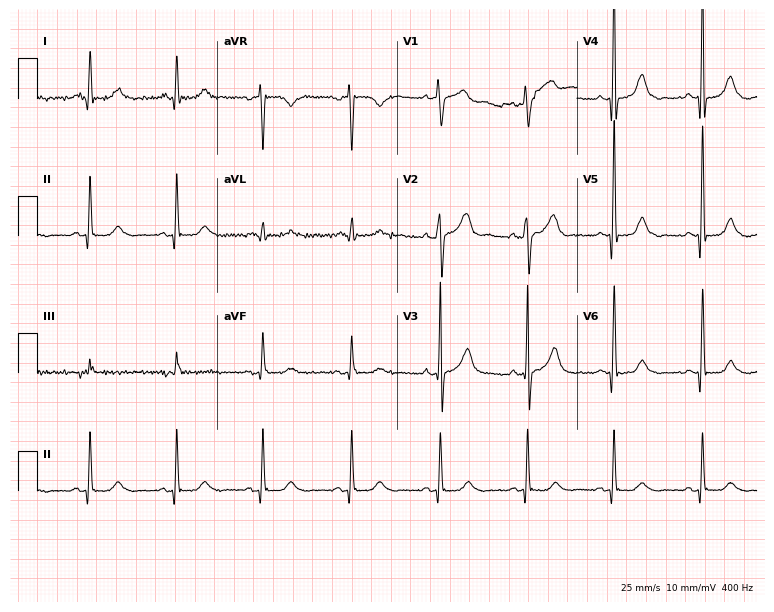
Resting 12-lead electrocardiogram (7.3-second recording at 400 Hz). Patient: a male, 62 years old. None of these six findings is recorded: first-degree AV block, right bundle branch block, left bundle branch block, sinus bradycardia, atrial fibrillation, sinus tachycardia.